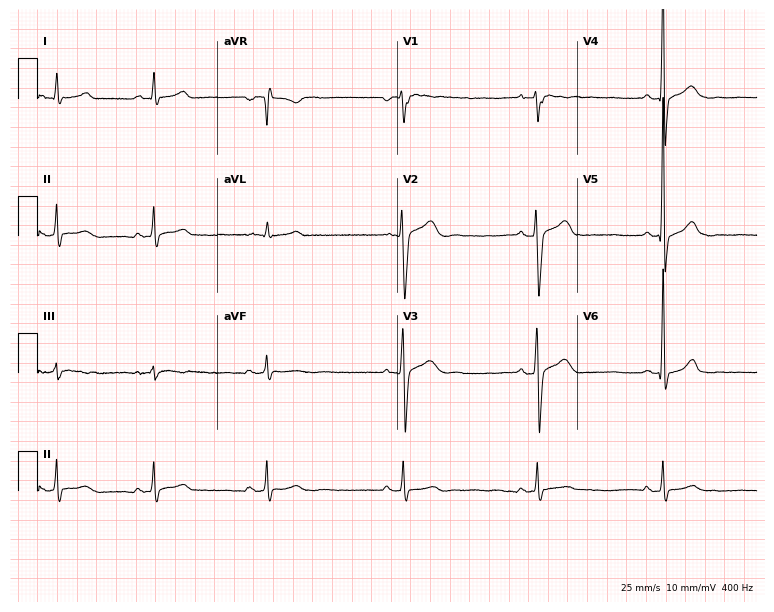
Standard 12-lead ECG recorded from a 33-year-old male patient (7.3-second recording at 400 Hz). The tracing shows sinus bradycardia (a sinus rate of 50 beats per minute or less).